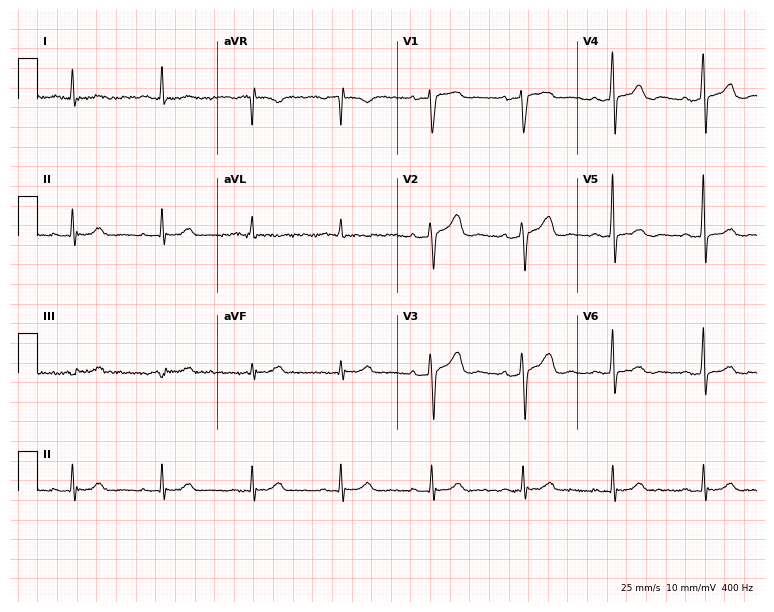
12-lead ECG from a 77-year-old man. No first-degree AV block, right bundle branch block (RBBB), left bundle branch block (LBBB), sinus bradycardia, atrial fibrillation (AF) or sinus tachycardia recorded for this tracing.